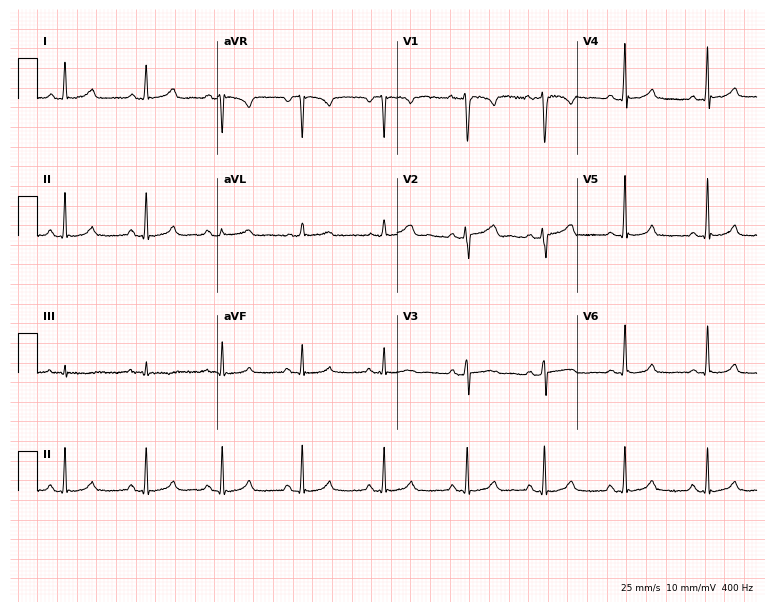
ECG (7.3-second recording at 400 Hz) — a 33-year-old female. Labelled as a normal ECG.